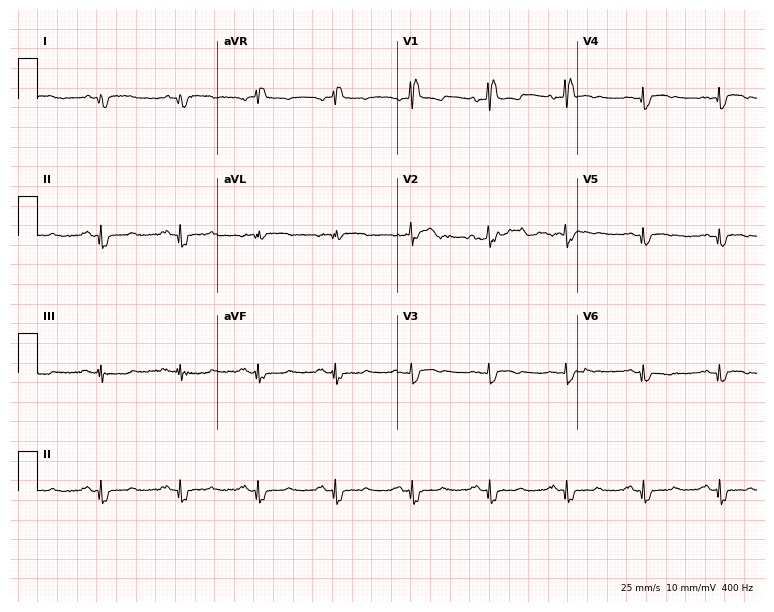
Electrocardiogram (7.3-second recording at 400 Hz), a male, 61 years old. Interpretation includes right bundle branch block.